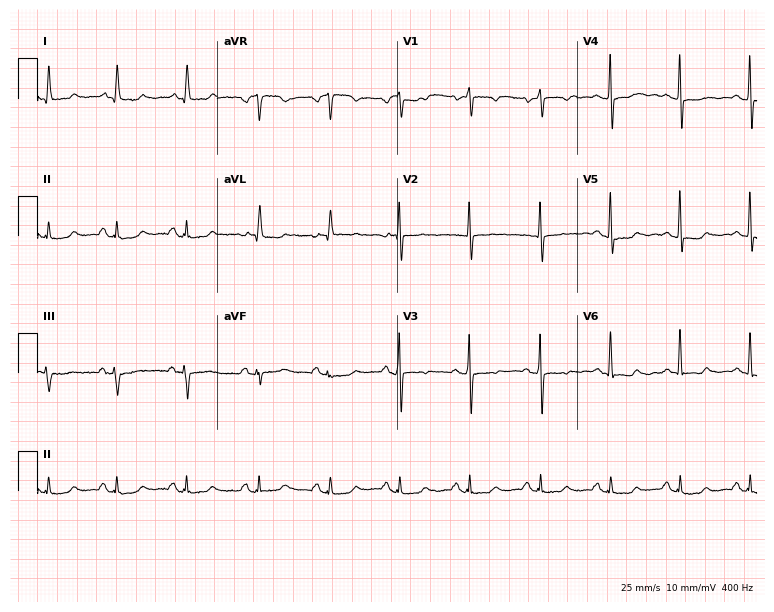
ECG — a female patient, 78 years old. Screened for six findings — first-degree AV block, right bundle branch block, left bundle branch block, sinus bradycardia, atrial fibrillation, sinus tachycardia — none is recorded.